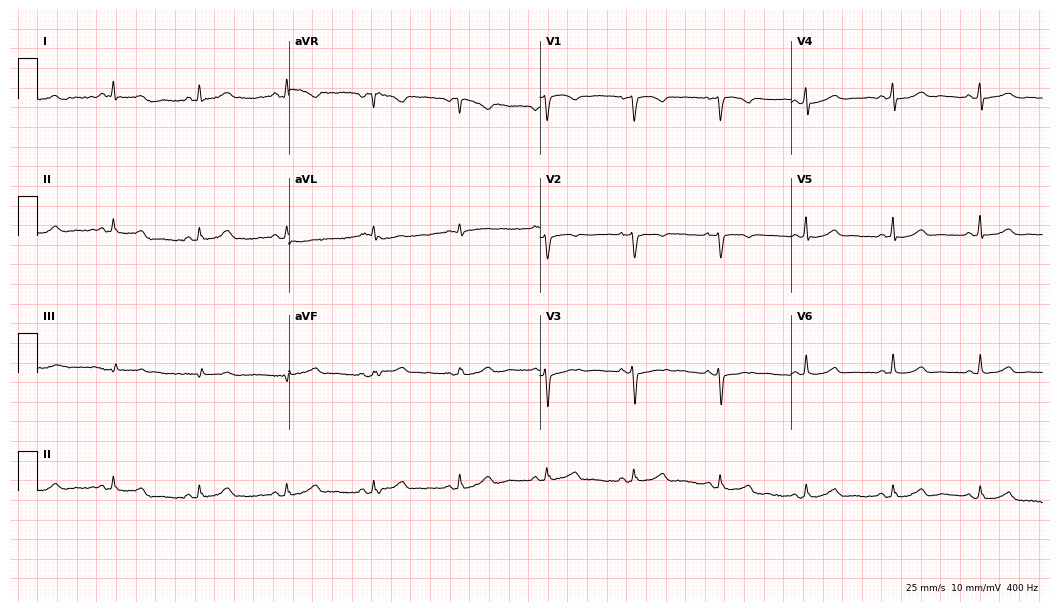
Standard 12-lead ECG recorded from a female, 52 years old. None of these six findings is recorded: first-degree AV block, right bundle branch block (RBBB), left bundle branch block (LBBB), sinus bradycardia, atrial fibrillation (AF), sinus tachycardia. Findings outside these six are not listed.